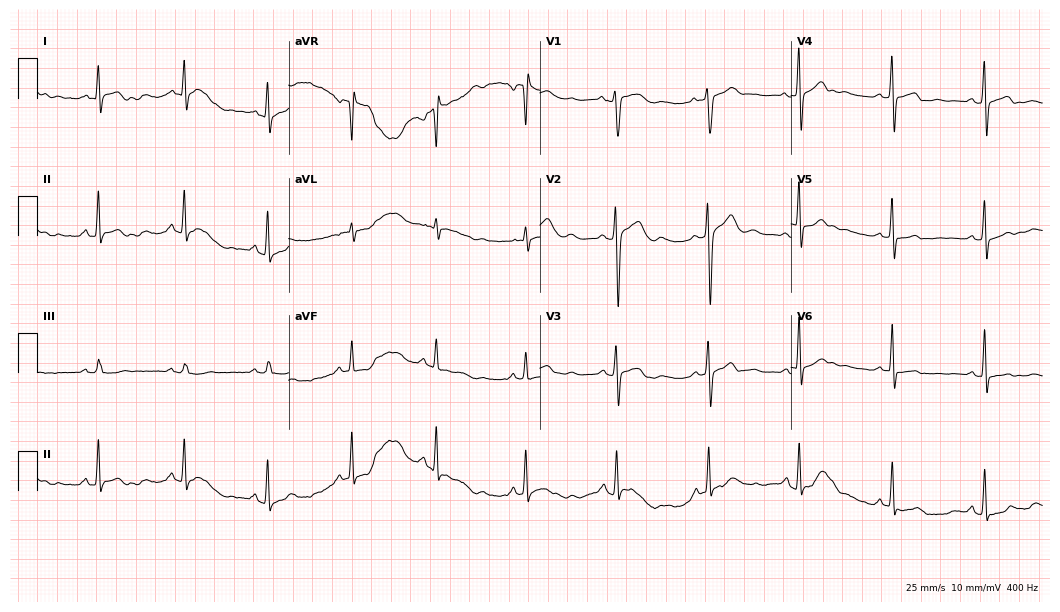
12-lead ECG (10.2-second recording at 400 Hz) from a 27-year-old woman. Labelled as a normal ECG.